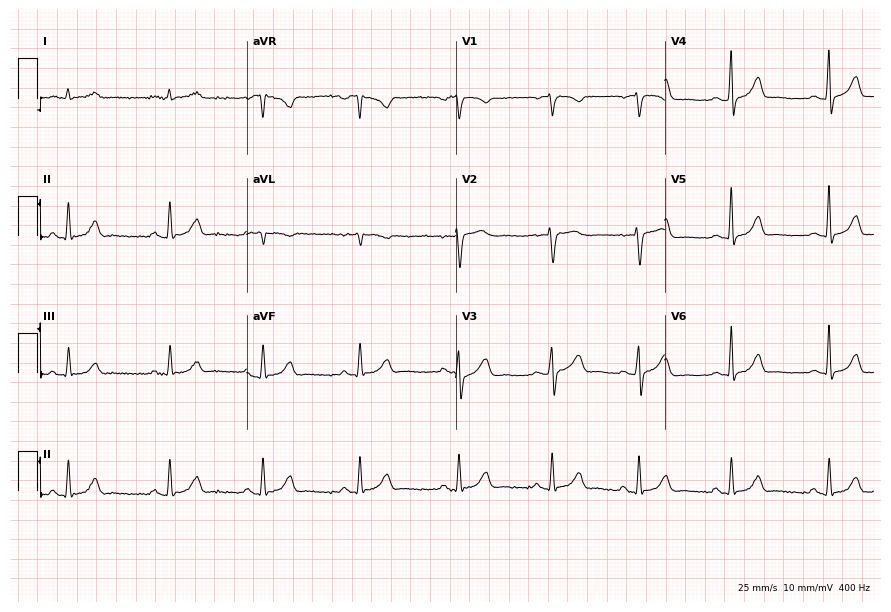
12-lead ECG from a female, 49 years old. Labelled as a normal ECG.